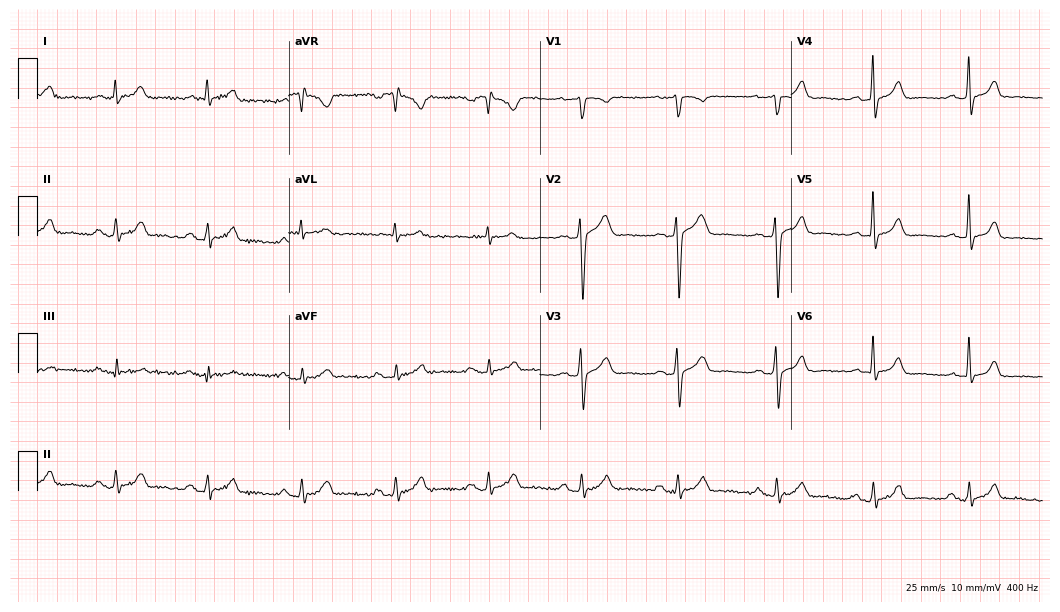
ECG — a male, 32 years old. Labelled as a normal ECG.